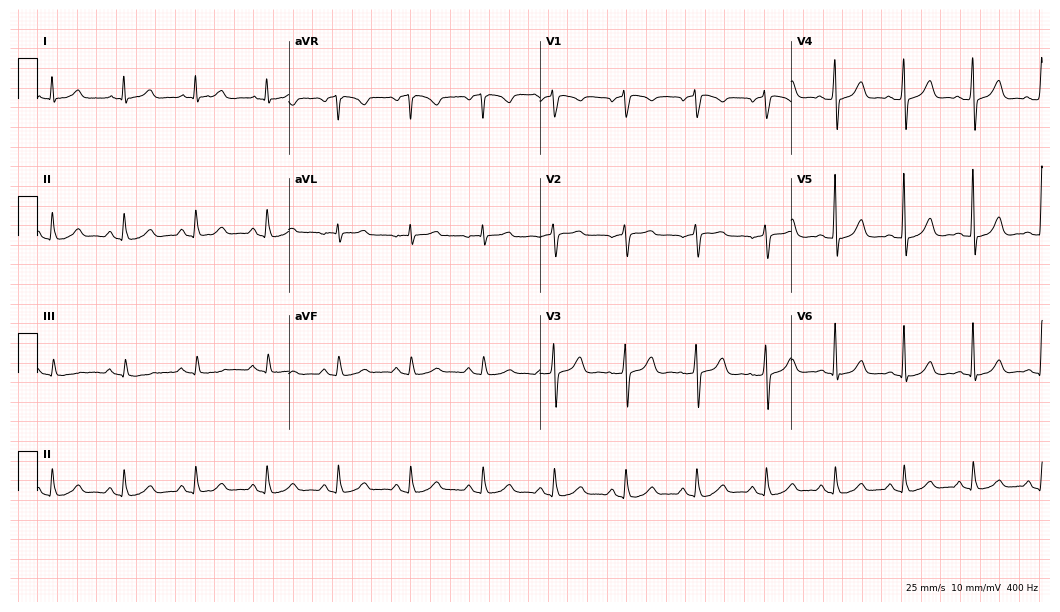
12-lead ECG from a male, 63 years old. Recorded interpretation: within normal limits.